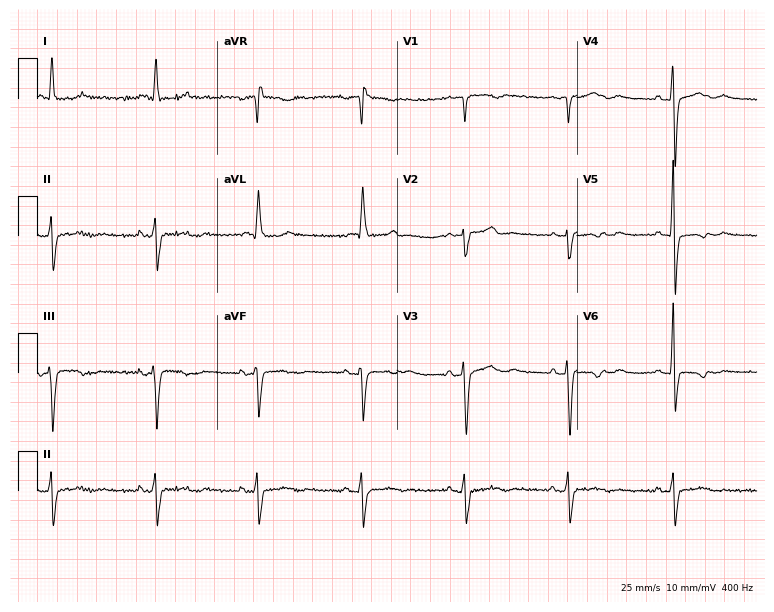
Resting 12-lead electrocardiogram. Patient: a woman, 62 years old. None of these six findings is recorded: first-degree AV block, right bundle branch block (RBBB), left bundle branch block (LBBB), sinus bradycardia, atrial fibrillation (AF), sinus tachycardia. Findings outside these six are not listed.